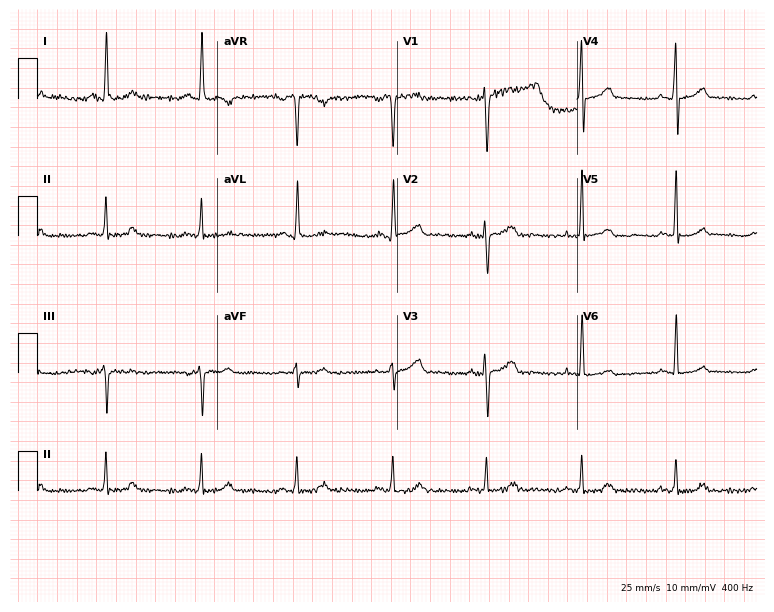
12-lead ECG from a 47-year-old female patient (7.3-second recording at 400 Hz). No first-degree AV block, right bundle branch block, left bundle branch block, sinus bradycardia, atrial fibrillation or sinus tachycardia recorded for this tracing. Other findings, if any, are not listed.